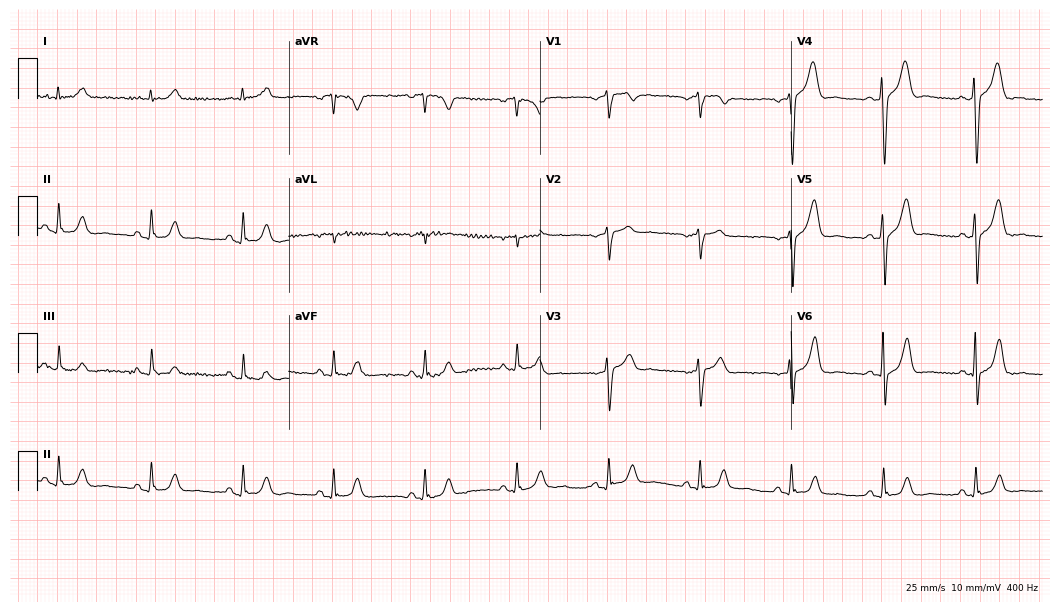
Electrocardiogram (10.2-second recording at 400 Hz), a 65-year-old man. Overall reading on record: normal ECG.